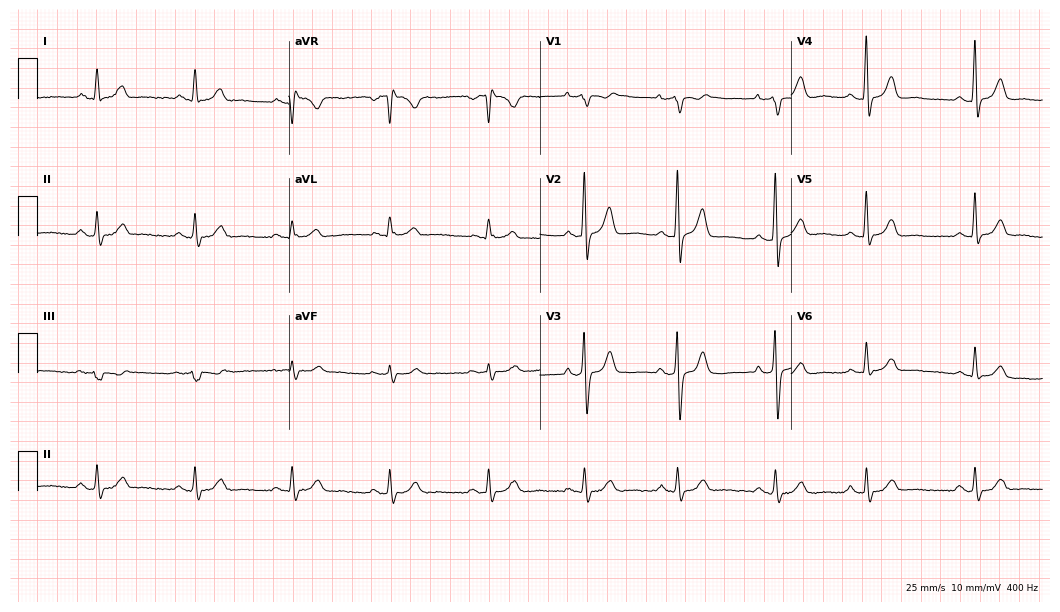
Resting 12-lead electrocardiogram (10.2-second recording at 400 Hz). Patient: a 70-year-old male. Read as a normal ECG.